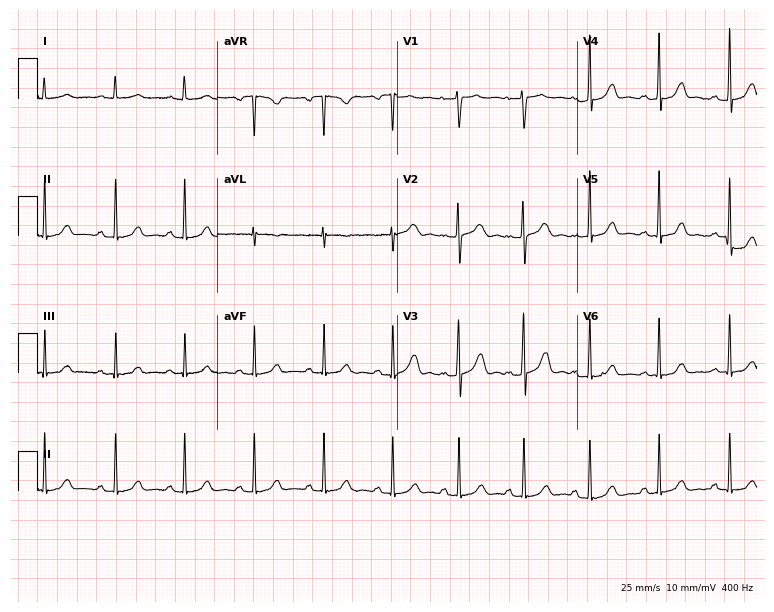
12-lead ECG from a female patient, 32 years old. Recorded interpretation: within normal limits.